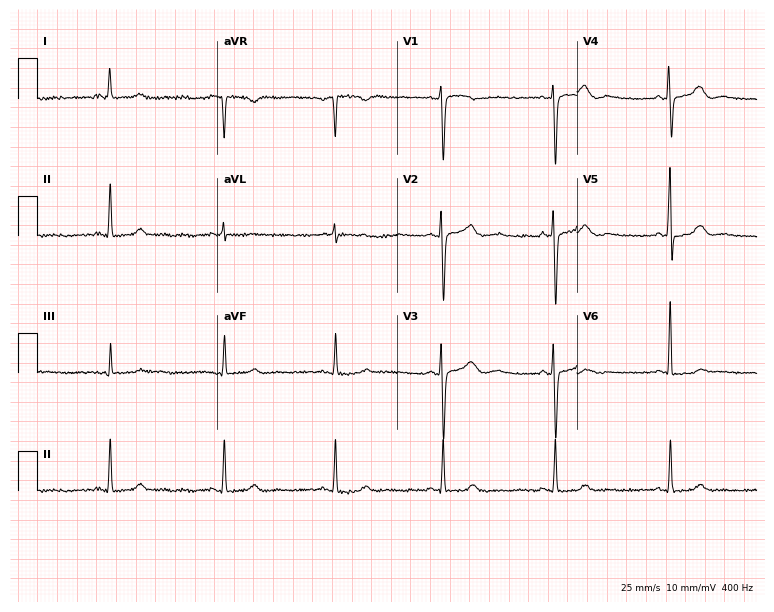
12-lead ECG from a 38-year-old woman. Screened for six findings — first-degree AV block, right bundle branch block, left bundle branch block, sinus bradycardia, atrial fibrillation, sinus tachycardia — none is recorded.